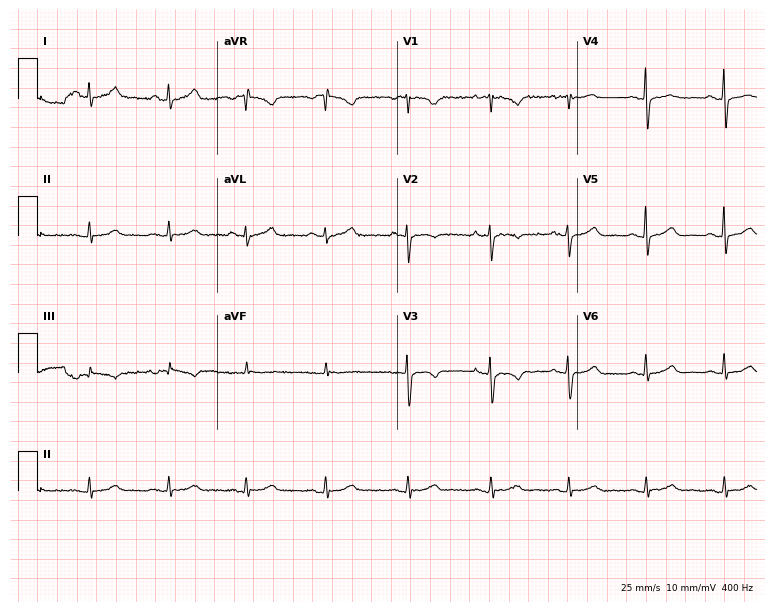
Resting 12-lead electrocardiogram. Patient: a 53-year-old female. Read as a normal ECG.